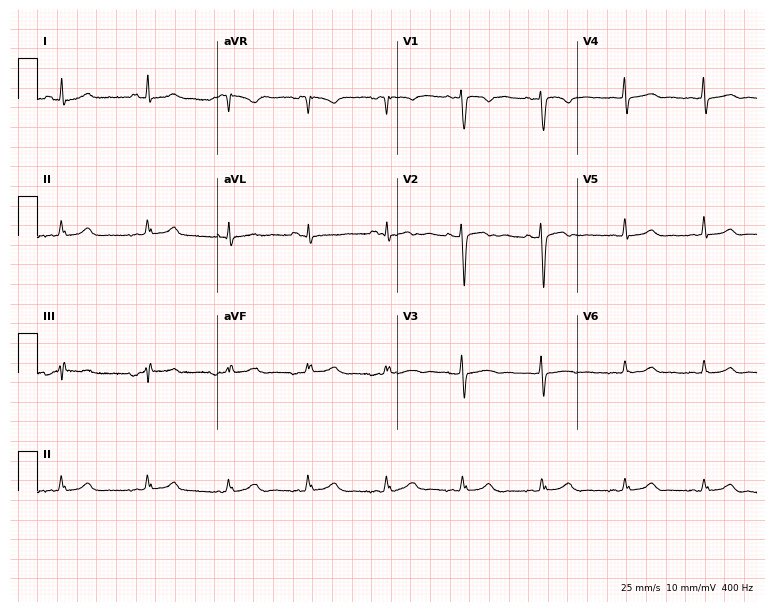
12-lead ECG (7.3-second recording at 400 Hz) from a woman, 28 years old. Screened for six findings — first-degree AV block, right bundle branch block, left bundle branch block, sinus bradycardia, atrial fibrillation, sinus tachycardia — none is recorded.